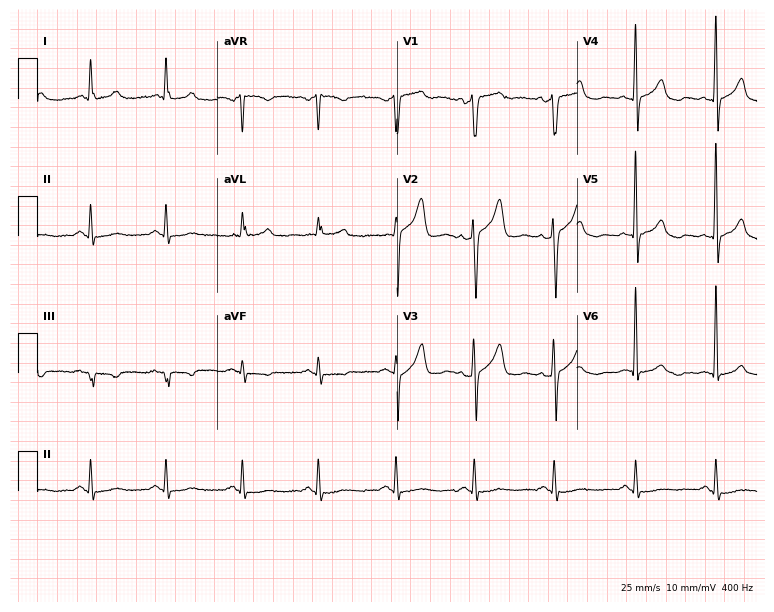
Electrocardiogram, a male, 62 years old. Of the six screened findings (first-degree AV block, right bundle branch block, left bundle branch block, sinus bradycardia, atrial fibrillation, sinus tachycardia), none is recorded. Other findings, if any, are not listed.